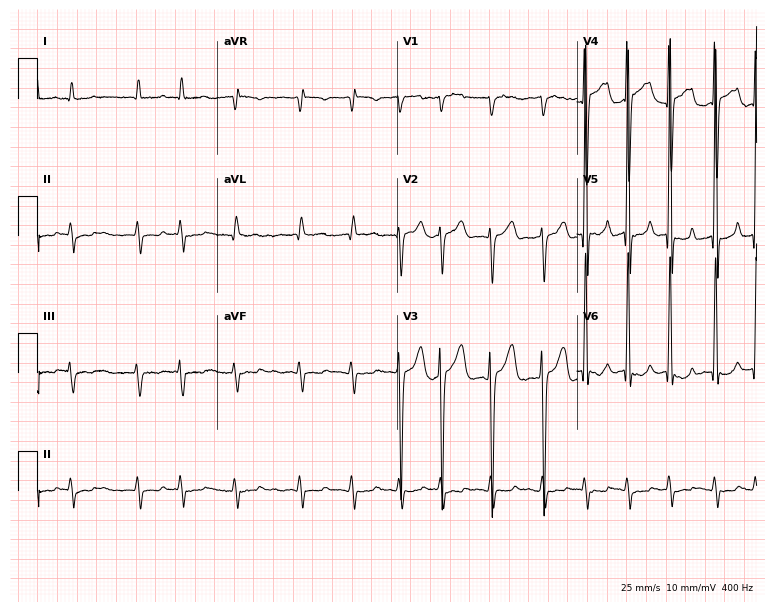
Standard 12-lead ECG recorded from a male, 61 years old (7.3-second recording at 400 Hz). The tracing shows atrial fibrillation.